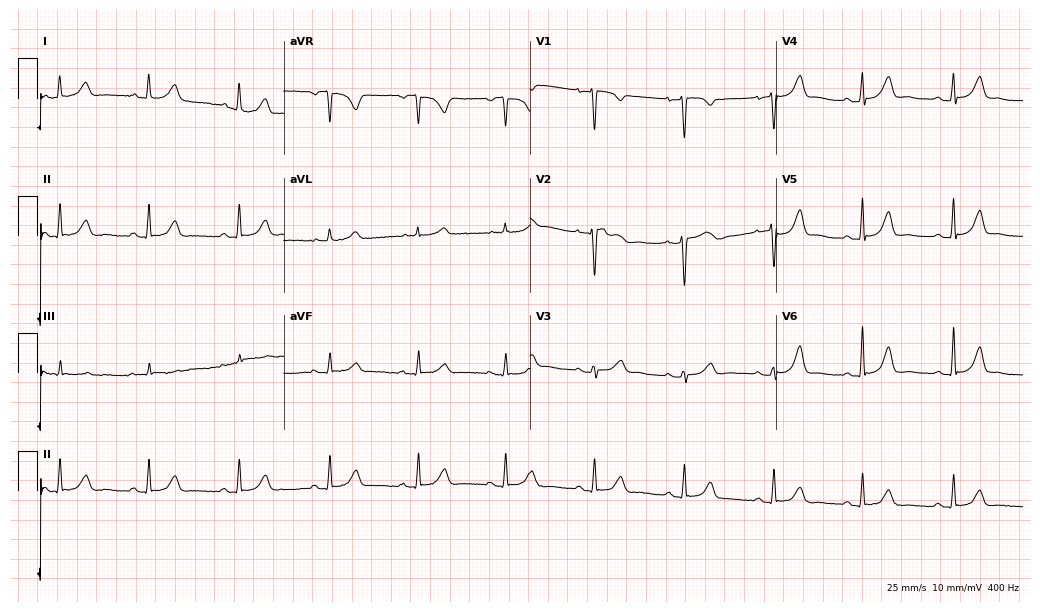
Electrocardiogram, a 56-year-old female. Overall reading on record: normal ECG.